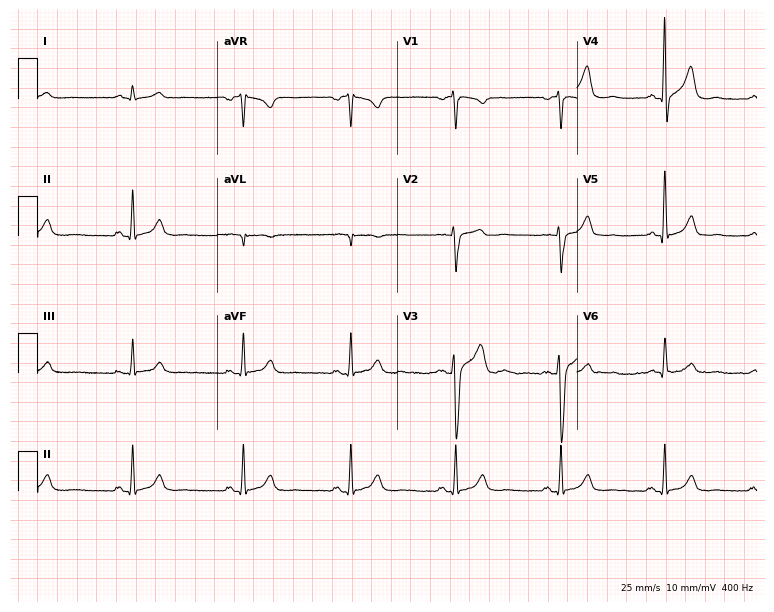
12-lead ECG from a man, 32 years old. Recorded interpretation: within normal limits.